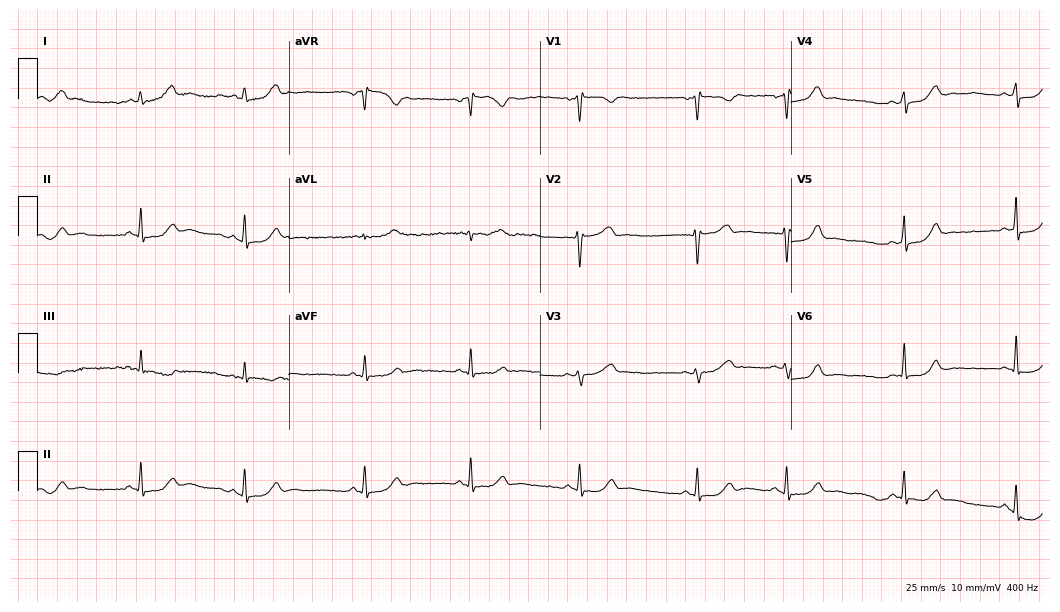
12-lead ECG from a female patient, 27 years old. Screened for six findings — first-degree AV block, right bundle branch block, left bundle branch block, sinus bradycardia, atrial fibrillation, sinus tachycardia — none is recorded. Other findings, if any, are not listed.